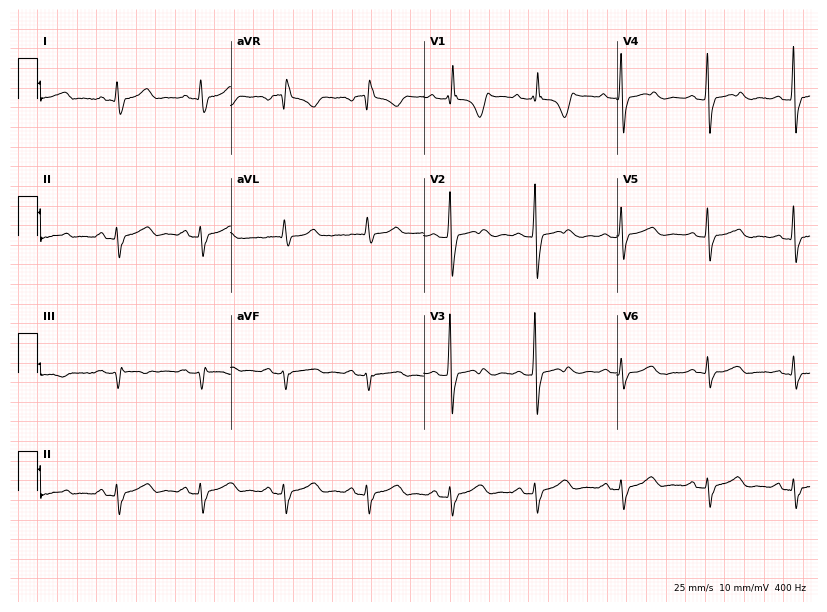
Standard 12-lead ECG recorded from a female patient, 77 years old (7.9-second recording at 400 Hz). None of these six findings is recorded: first-degree AV block, right bundle branch block (RBBB), left bundle branch block (LBBB), sinus bradycardia, atrial fibrillation (AF), sinus tachycardia.